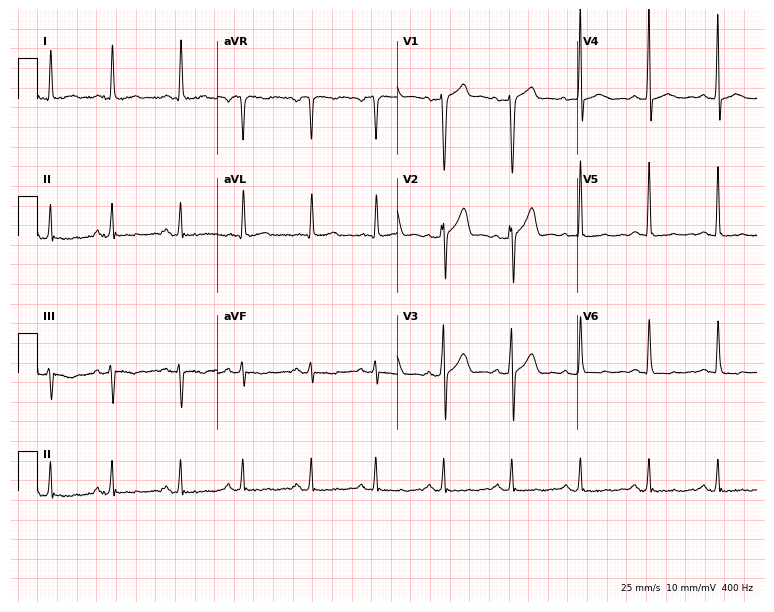
12-lead ECG from a man, 49 years old. Screened for six findings — first-degree AV block, right bundle branch block, left bundle branch block, sinus bradycardia, atrial fibrillation, sinus tachycardia — none is recorded.